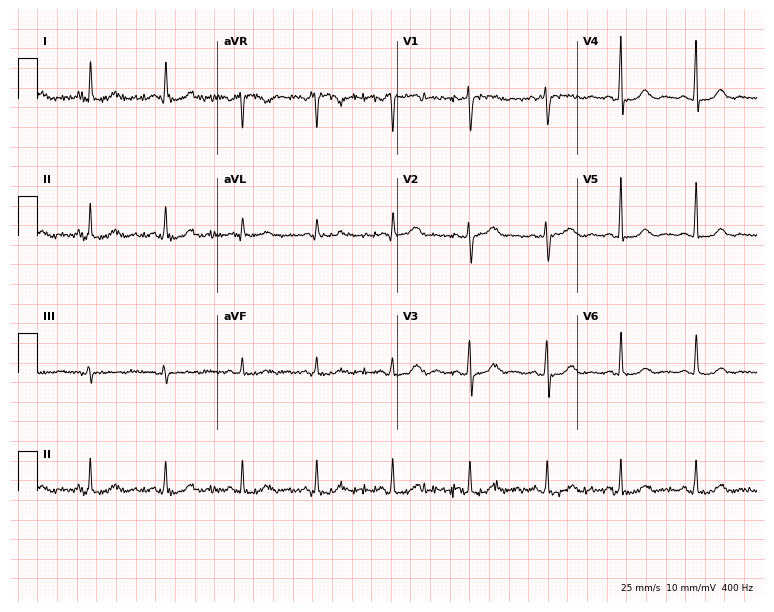
Standard 12-lead ECG recorded from a female patient, 55 years old (7.3-second recording at 400 Hz). Read as a normal ECG.